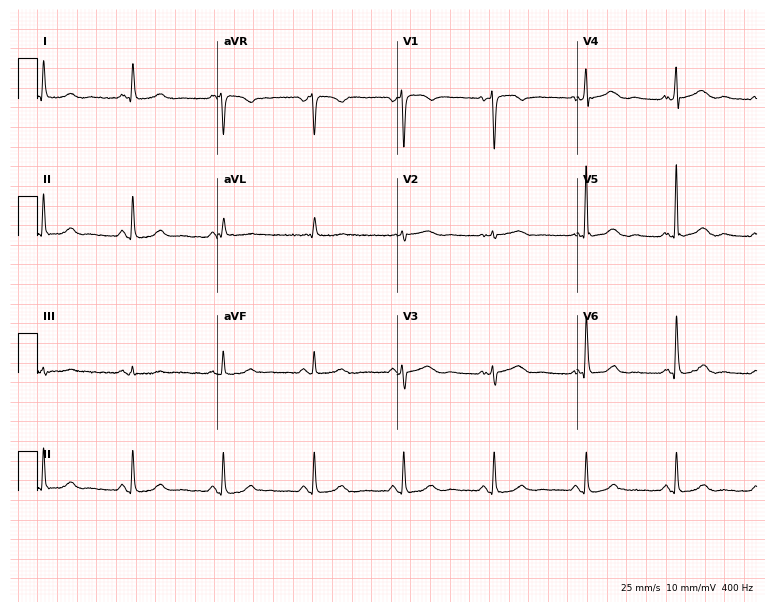
12-lead ECG (7.3-second recording at 400 Hz) from a 61-year-old woman. Screened for six findings — first-degree AV block, right bundle branch block, left bundle branch block, sinus bradycardia, atrial fibrillation, sinus tachycardia — none is recorded. Findings outside these six are not listed.